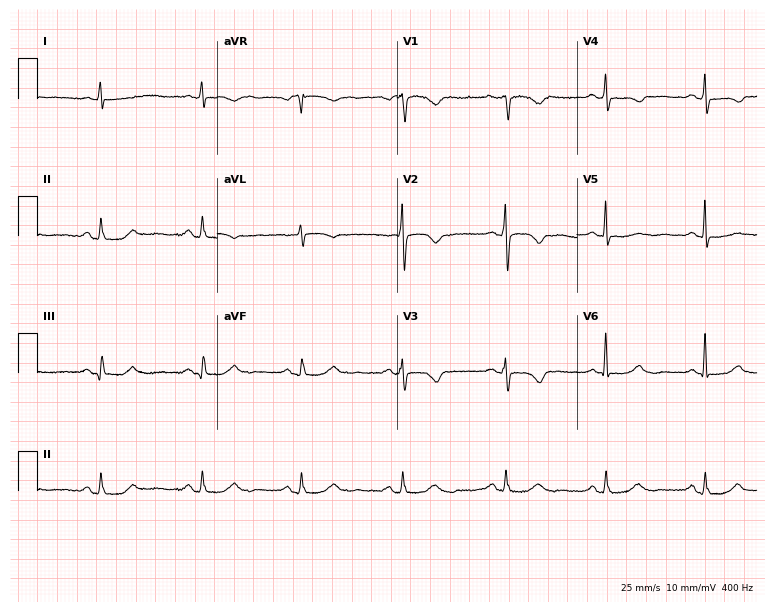
Resting 12-lead electrocardiogram. Patient: a female, 74 years old. None of these six findings is recorded: first-degree AV block, right bundle branch block (RBBB), left bundle branch block (LBBB), sinus bradycardia, atrial fibrillation (AF), sinus tachycardia.